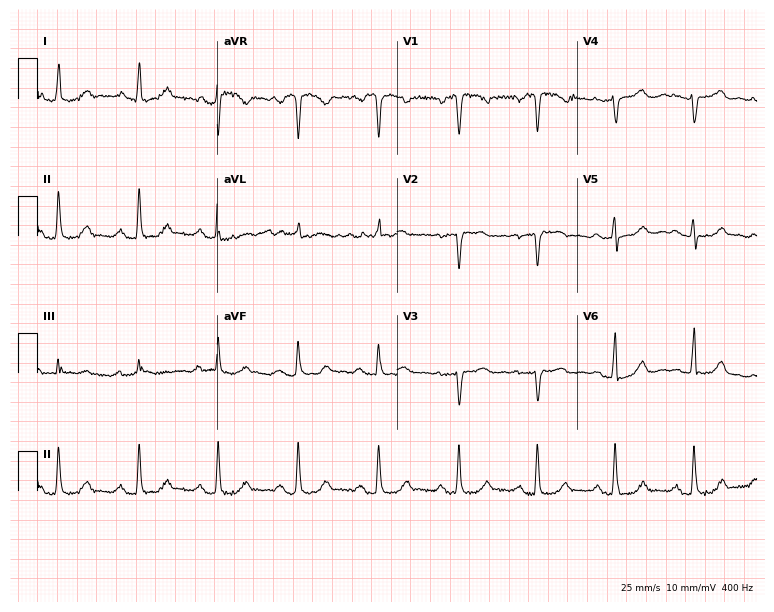
12-lead ECG (7.3-second recording at 400 Hz) from a 72-year-old female. Screened for six findings — first-degree AV block, right bundle branch block (RBBB), left bundle branch block (LBBB), sinus bradycardia, atrial fibrillation (AF), sinus tachycardia — none is recorded. Only these six findings were labelled.